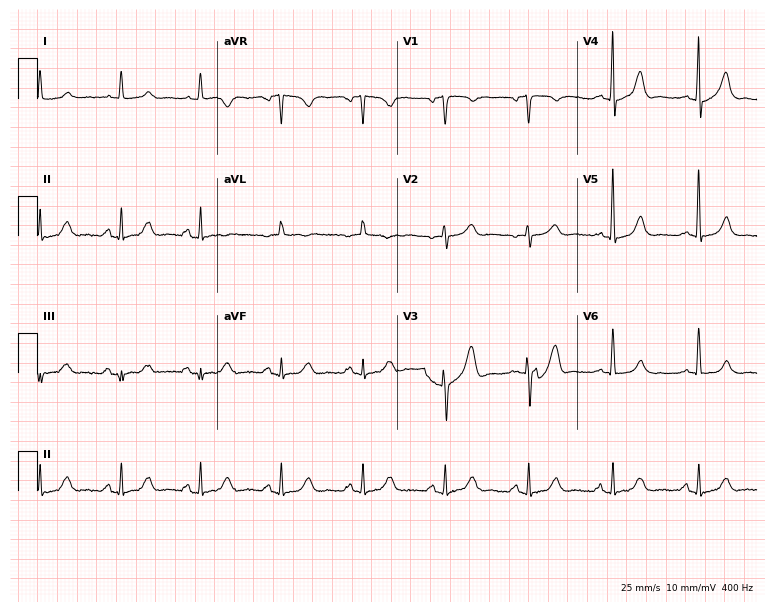
Resting 12-lead electrocardiogram (7.3-second recording at 400 Hz). Patient: a female, 63 years old. Read as a normal ECG.